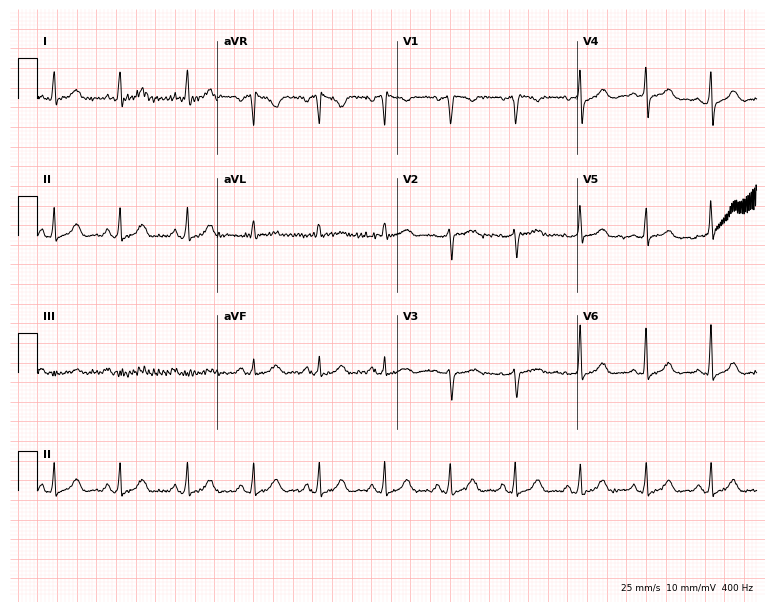
12-lead ECG (7.3-second recording at 400 Hz) from a 40-year-old female patient. Screened for six findings — first-degree AV block, right bundle branch block (RBBB), left bundle branch block (LBBB), sinus bradycardia, atrial fibrillation (AF), sinus tachycardia — none is recorded.